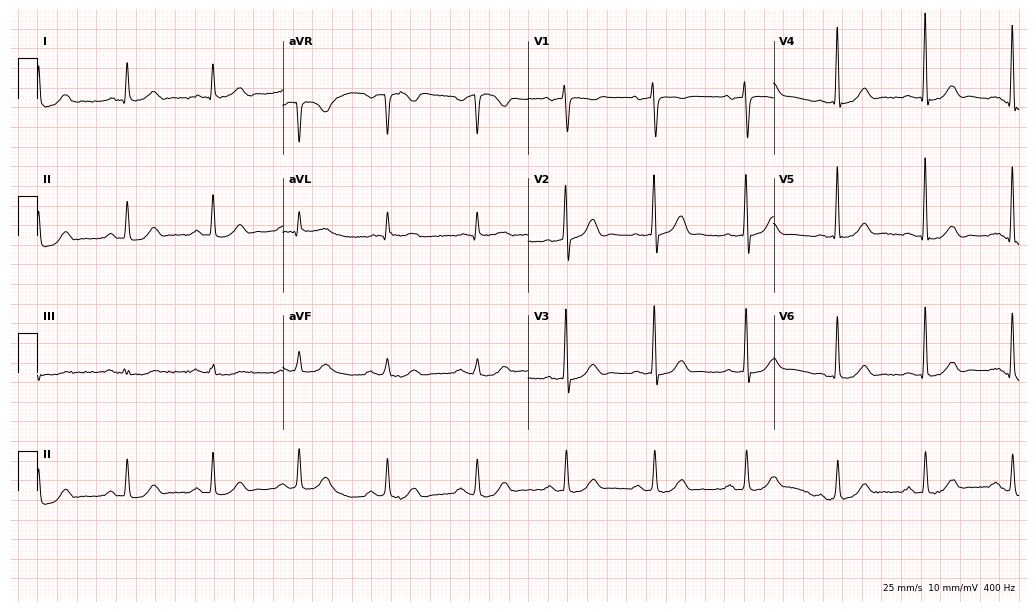
12-lead ECG from a male, 74 years old. Screened for six findings — first-degree AV block, right bundle branch block, left bundle branch block, sinus bradycardia, atrial fibrillation, sinus tachycardia — none is recorded. Findings outside these six are not listed.